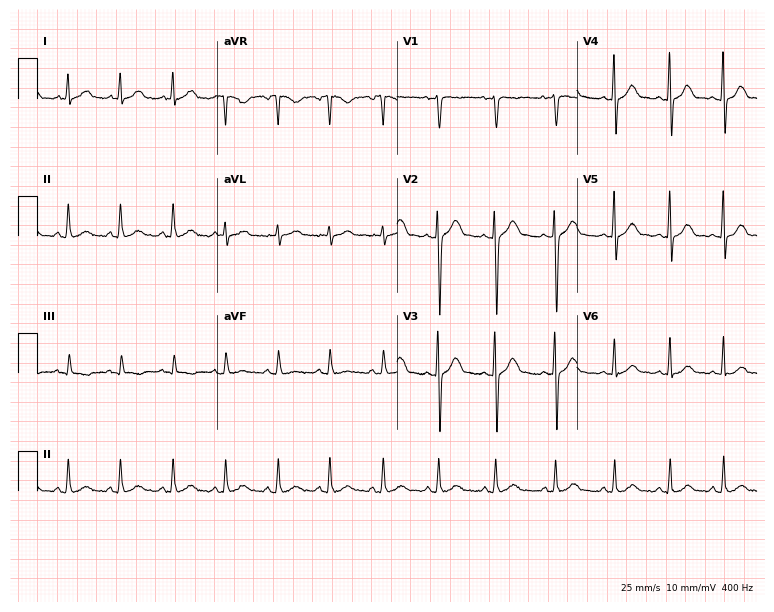
12-lead ECG (7.3-second recording at 400 Hz) from a female, 35 years old. Findings include sinus tachycardia (a sinus rate of 100 beats per minute or more).